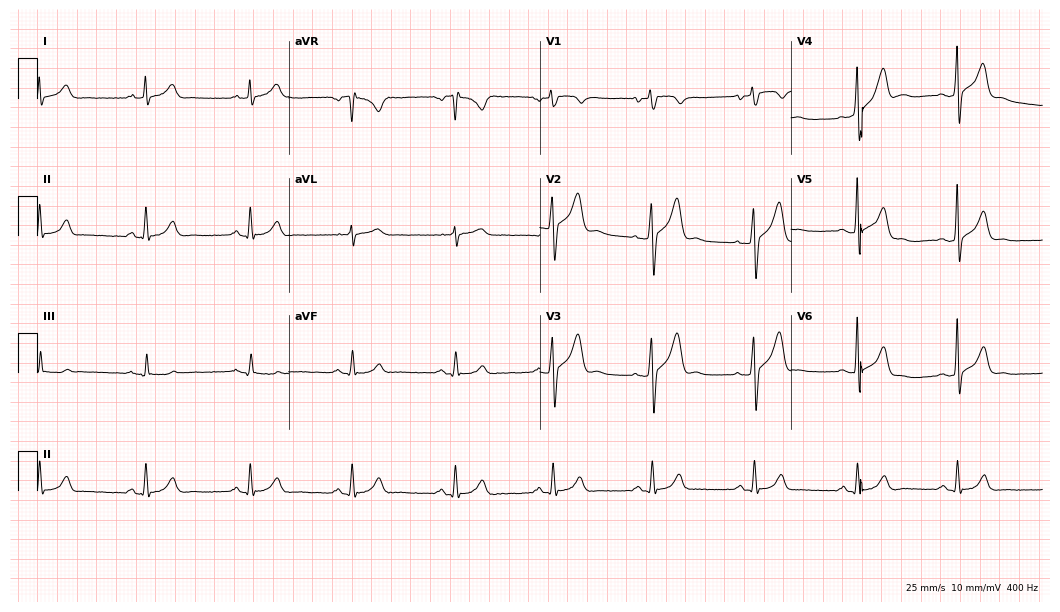
Electrocardiogram, a 30-year-old male patient. Overall reading on record: normal ECG.